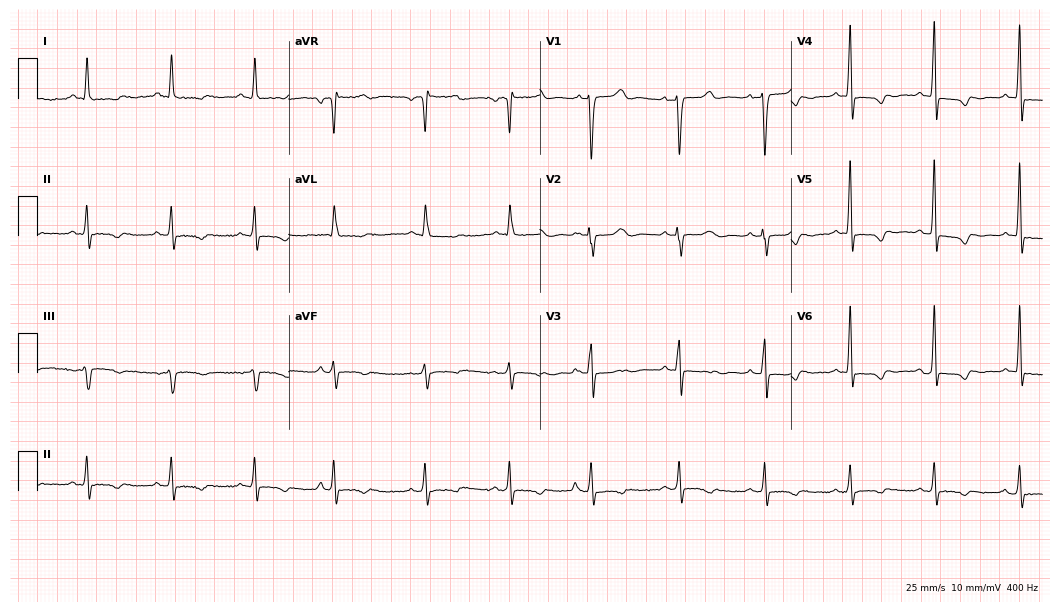
ECG (10.2-second recording at 400 Hz) — a male, 72 years old. Screened for six findings — first-degree AV block, right bundle branch block, left bundle branch block, sinus bradycardia, atrial fibrillation, sinus tachycardia — none is recorded. Only these six findings were labelled.